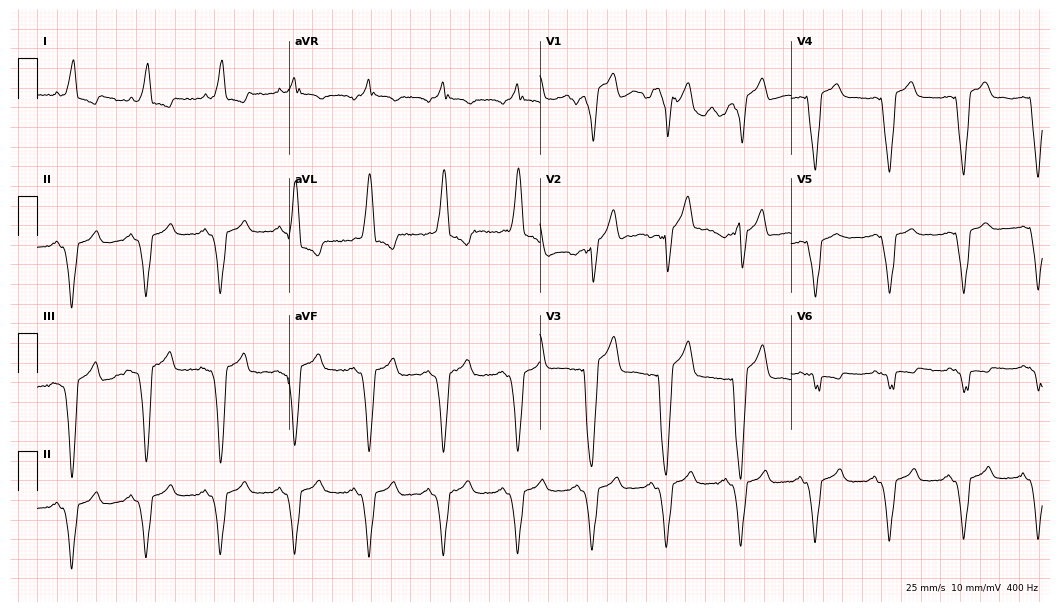
Resting 12-lead electrocardiogram. Patient: a male, 58 years old. The tracing shows left bundle branch block.